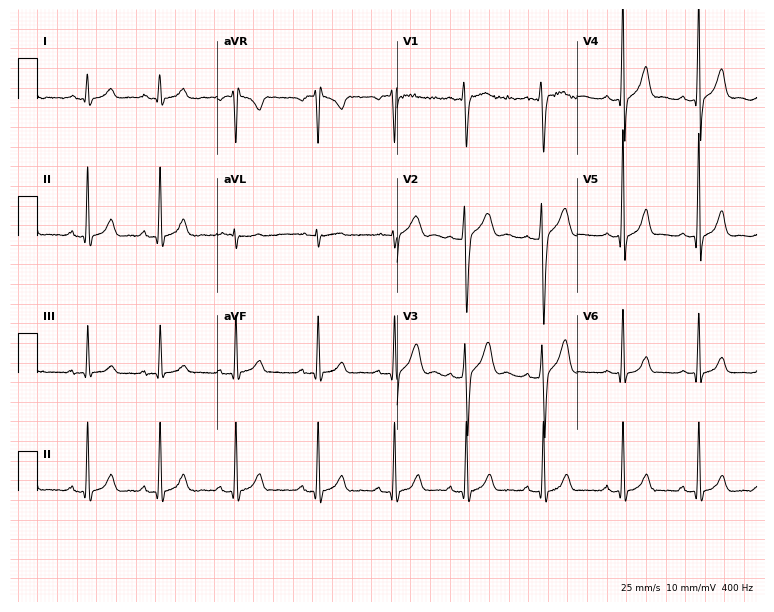
ECG (7.3-second recording at 400 Hz) — a female, 18 years old. Labelled as a normal ECG.